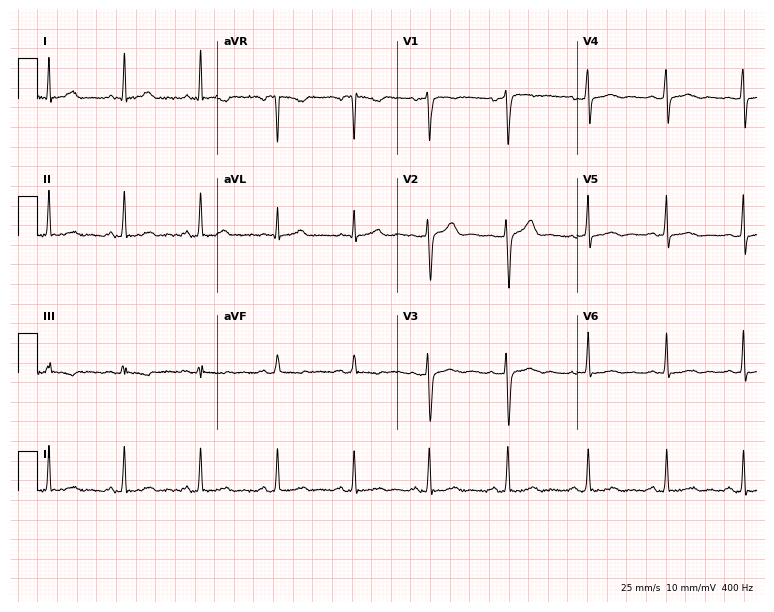
Electrocardiogram, a female patient, 33 years old. Of the six screened findings (first-degree AV block, right bundle branch block (RBBB), left bundle branch block (LBBB), sinus bradycardia, atrial fibrillation (AF), sinus tachycardia), none is recorded.